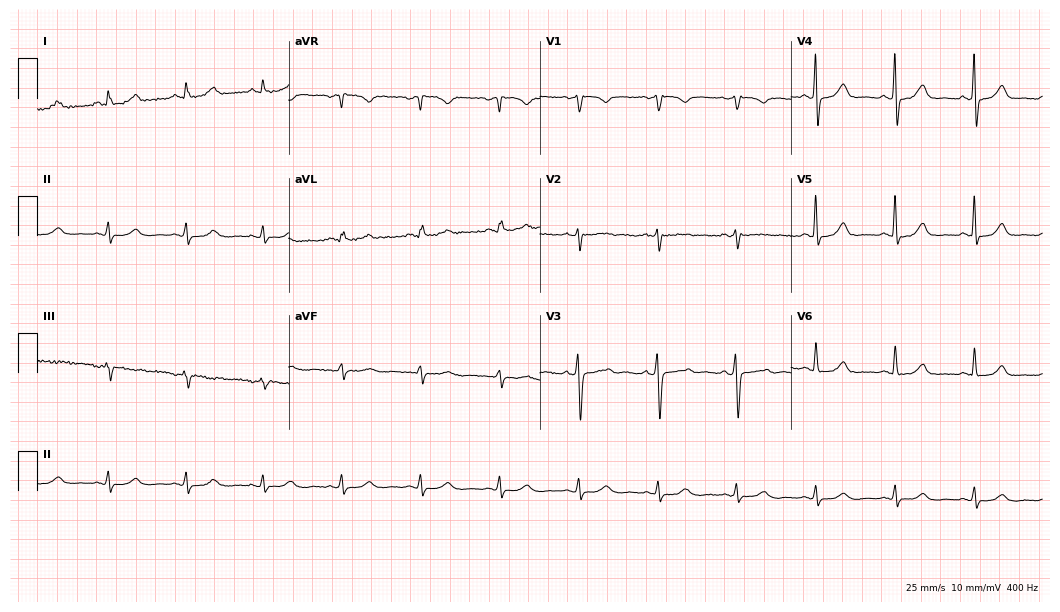
Resting 12-lead electrocardiogram (10.2-second recording at 400 Hz). Patient: a 62-year-old male. Read as a normal ECG.